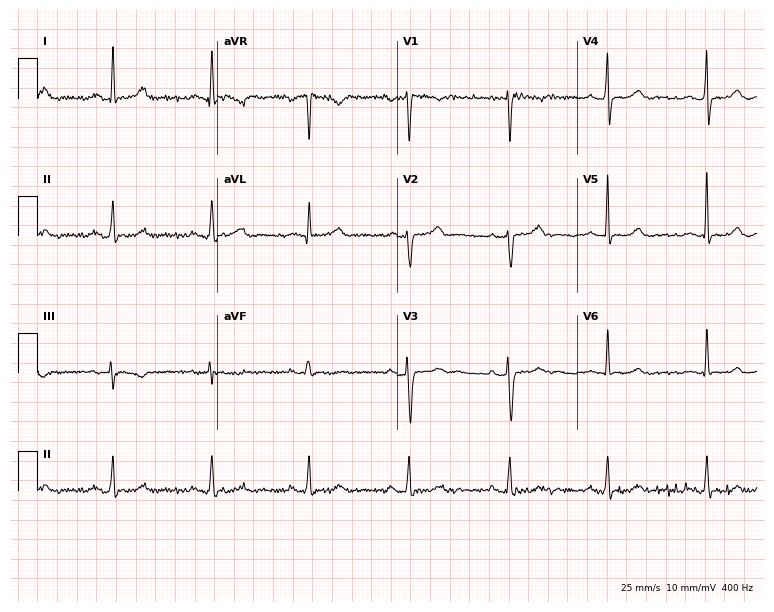
12-lead ECG from a 42-year-old female. Labelled as a normal ECG.